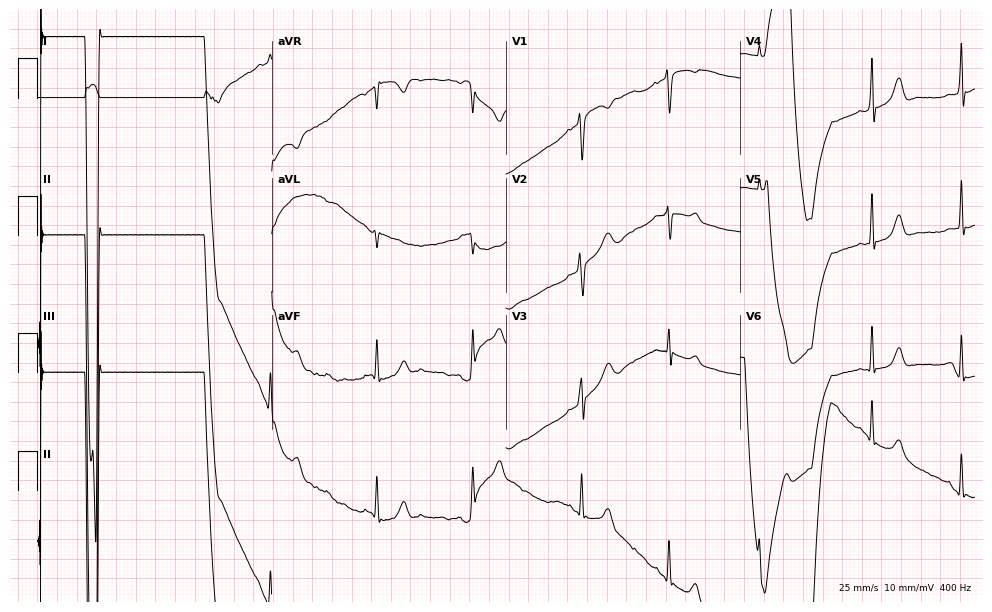
Standard 12-lead ECG recorded from a woman, 21 years old. None of these six findings is recorded: first-degree AV block, right bundle branch block (RBBB), left bundle branch block (LBBB), sinus bradycardia, atrial fibrillation (AF), sinus tachycardia. Only these six findings were labelled.